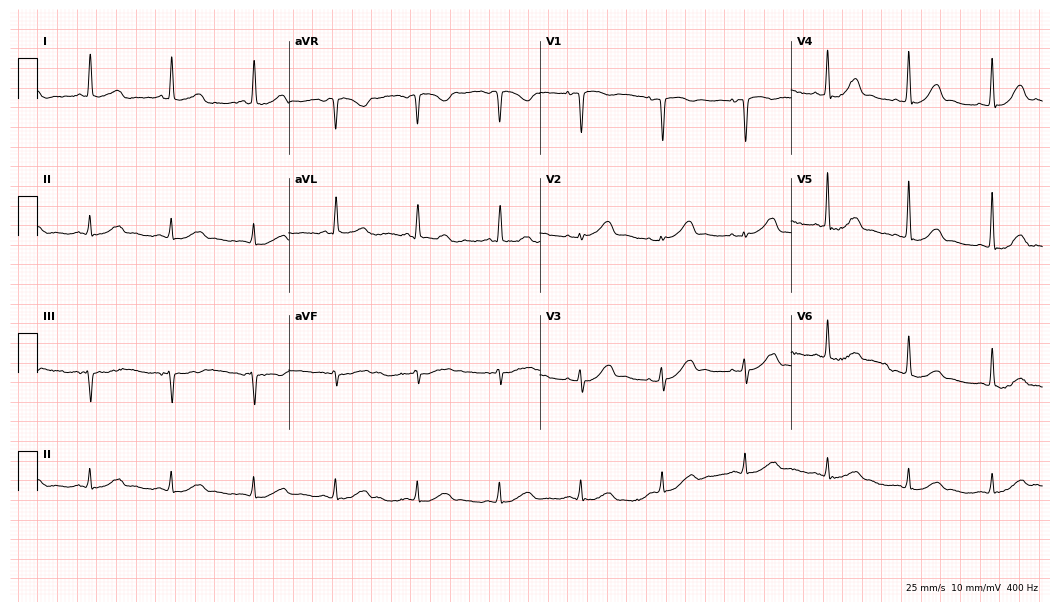
ECG (10.2-second recording at 400 Hz) — an 85-year-old woman. Labelled as a normal ECG.